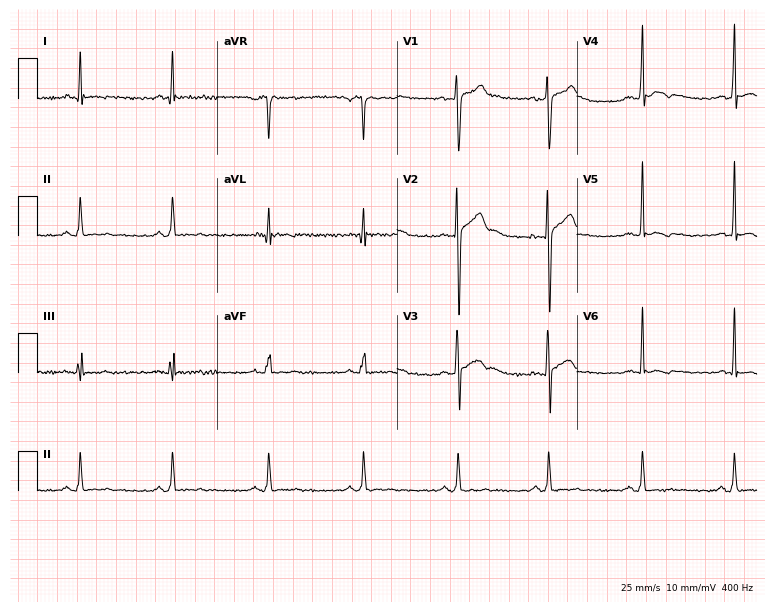
ECG — a 27-year-old male. Screened for six findings — first-degree AV block, right bundle branch block (RBBB), left bundle branch block (LBBB), sinus bradycardia, atrial fibrillation (AF), sinus tachycardia — none is recorded.